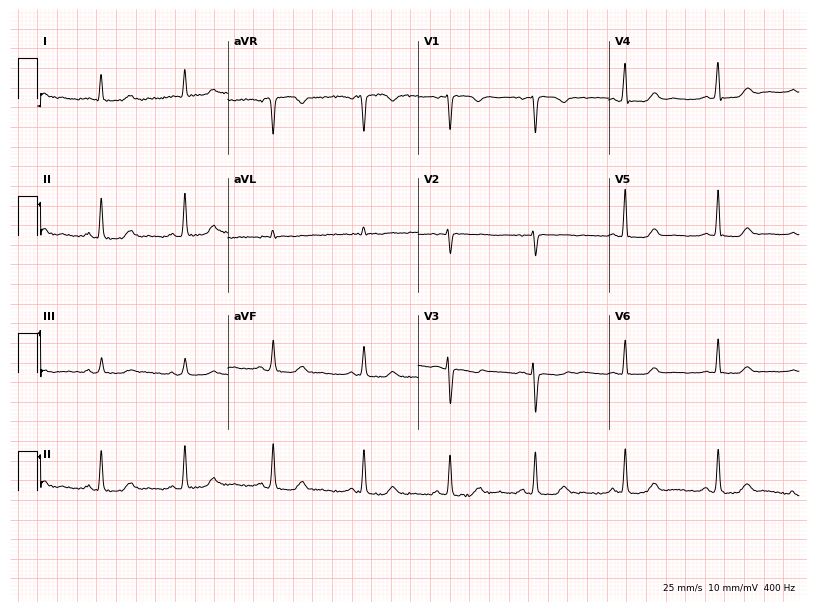
Electrocardiogram (7.8-second recording at 400 Hz), a 50-year-old female patient. Overall reading on record: normal ECG.